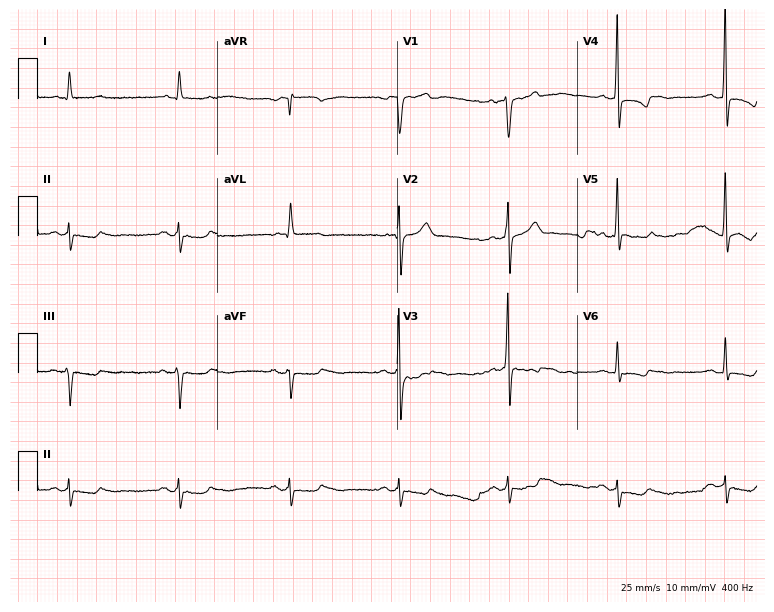
Standard 12-lead ECG recorded from a 59-year-old man (7.3-second recording at 400 Hz). None of these six findings is recorded: first-degree AV block, right bundle branch block, left bundle branch block, sinus bradycardia, atrial fibrillation, sinus tachycardia. Other findings, if any, are not listed.